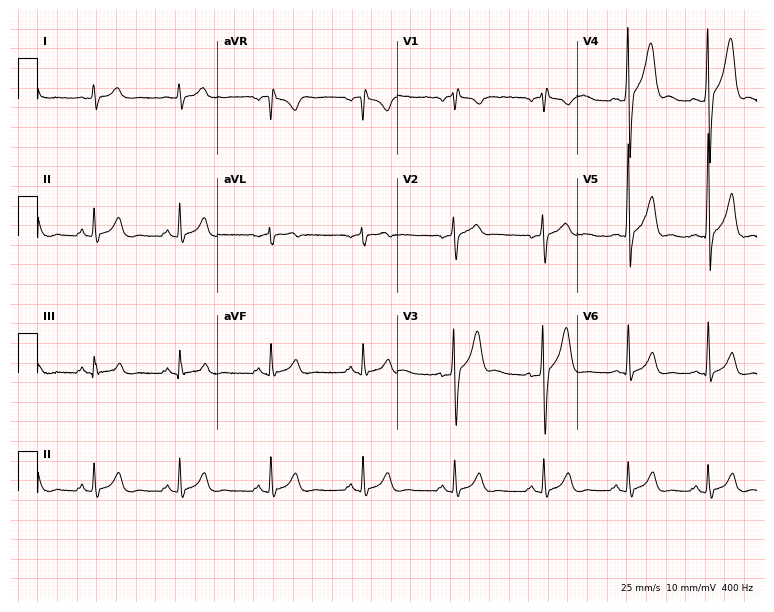
12-lead ECG (7.3-second recording at 400 Hz) from a 33-year-old male. Labelled as a normal ECG.